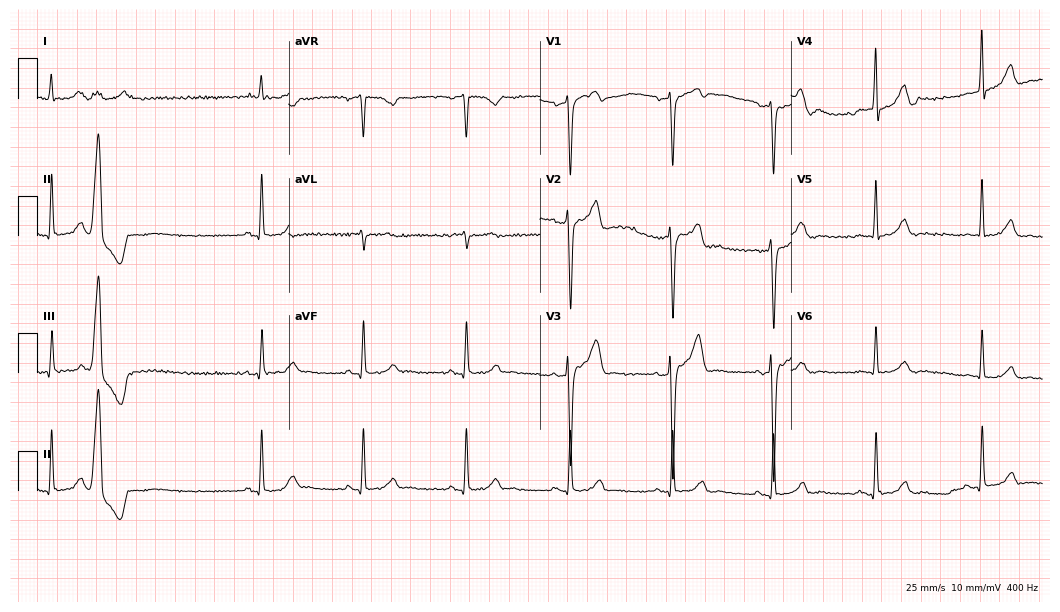
Standard 12-lead ECG recorded from a 49-year-old man. None of these six findings is recorded: first-degree AV block, right bundle branch block, left bundle branch block, sinus bradycardia, atrial fibrillation, sinus tachycardia. Only these six findings were labelled.